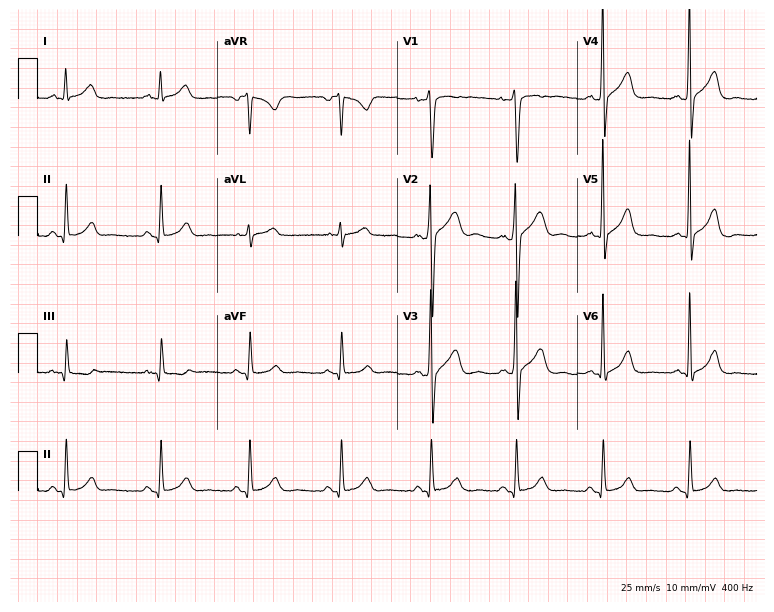
12-lead ECG from a man, 34 years old. No first-degree AV block, right bundle branch block, left bundle branch block, sinus bradycardia, atrial fibrillation or sinus tachycardia recorded for this tracing. Findings outside these six are not listed.